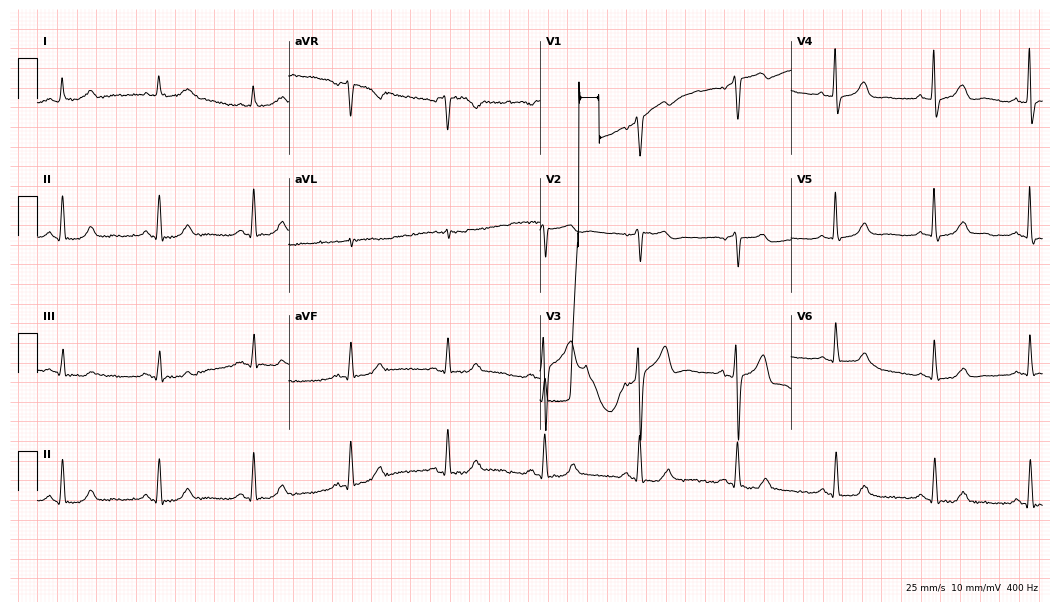
ECG — a 57-year-old male patient. Screened for six findings — first-degree AV block, right bundle branch block (RBBB), left bundle branch block (LBBB), sinus bradycardia, atrial fibrillation (AF), sinus tachycardia — none is recorded.